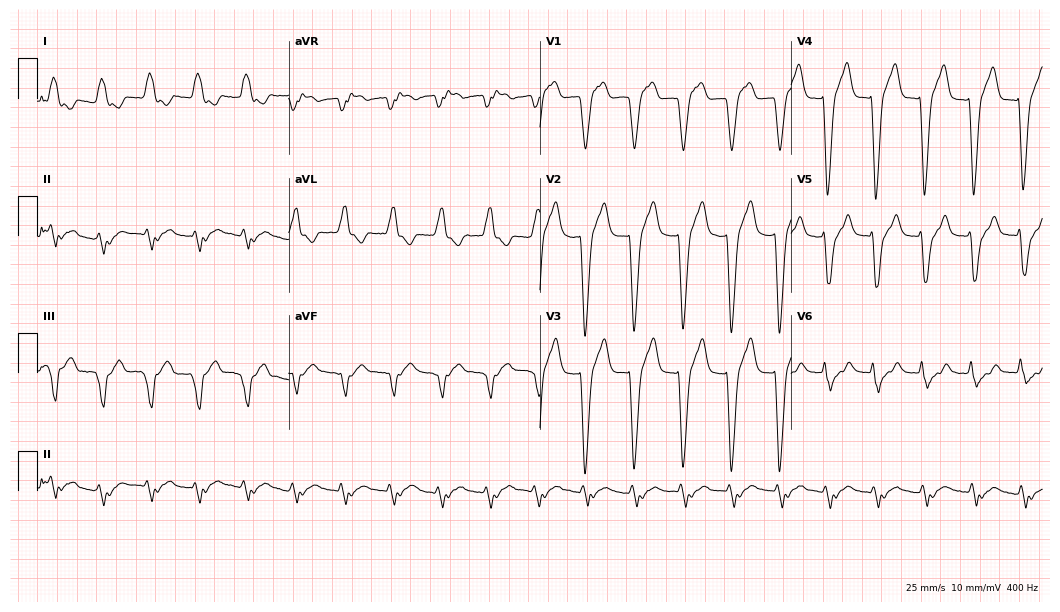
ECG — a 77-year-old male. Findings include left bundle branch block, atrial fibrillation, sinus tachycardia (a sinus rate of 100 beats per minute or more).